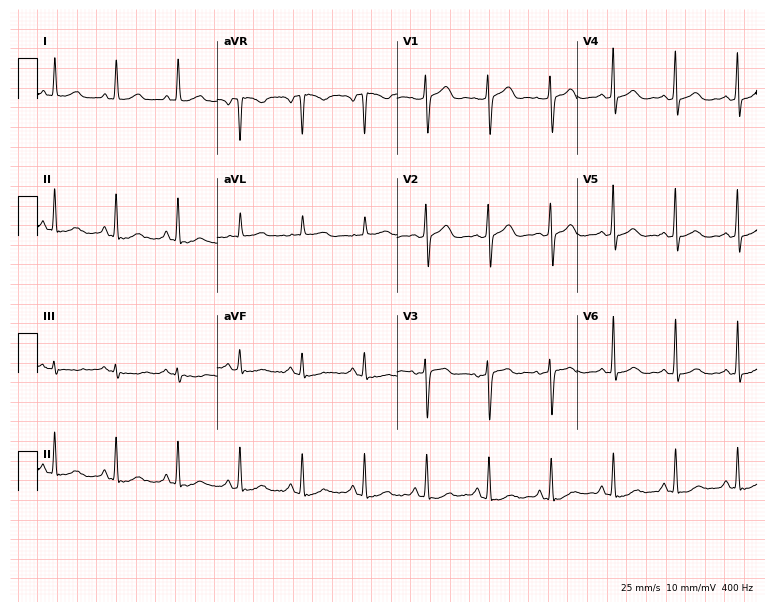
Resting 12-lead electrocardiogram. Patient: a female, 67 years old. None of these six findings is recorded: first-degree AV block, right bundle branch block, left bundle branch block, sinus bradycardia, atrial fibrillation, sinus tachycardia.